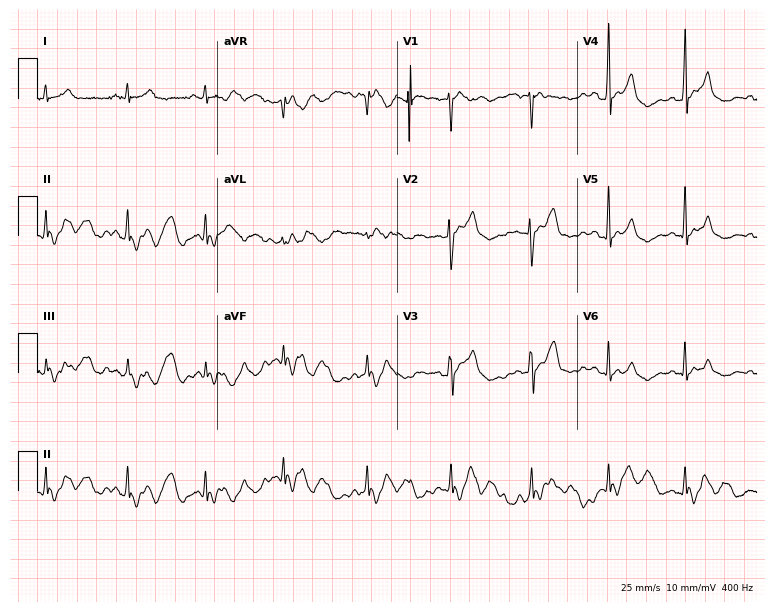
Electrocardiogram, a male, 36 years old. Of the six screened findings (first-degree AV block, right bundle branch block (RBBB), left bundle branch block (LBBB), sinus bradycardia, atrial fibrillation (AF), sinus tachycardia), none is recorded.